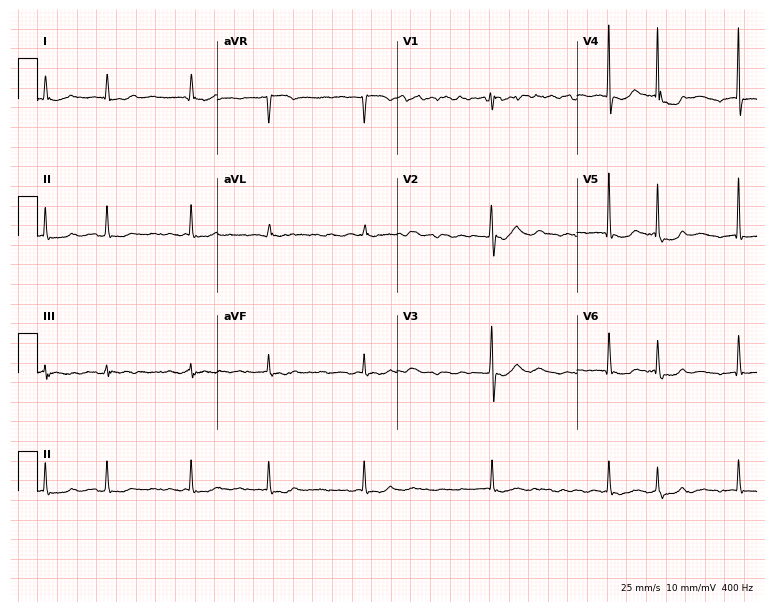
12-lead ECG from a woman, 56 years old. Findings include atrial fibrillation.